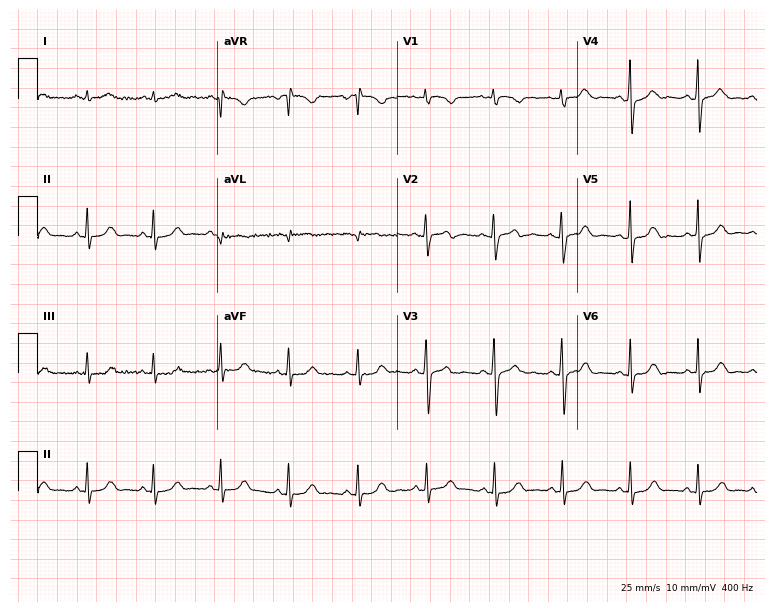
Electrocardiogram, a 27-year-old female patient. Overall reading on record: normal ECG.